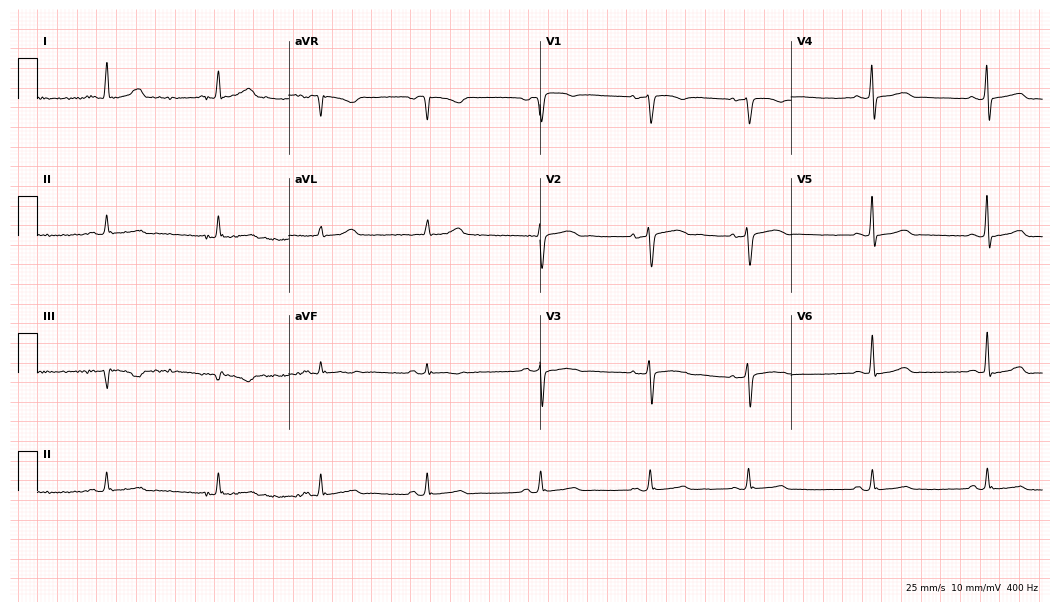
Electrocardiogram, a woman, 68 years old. Overall reading on record: normal ECG.